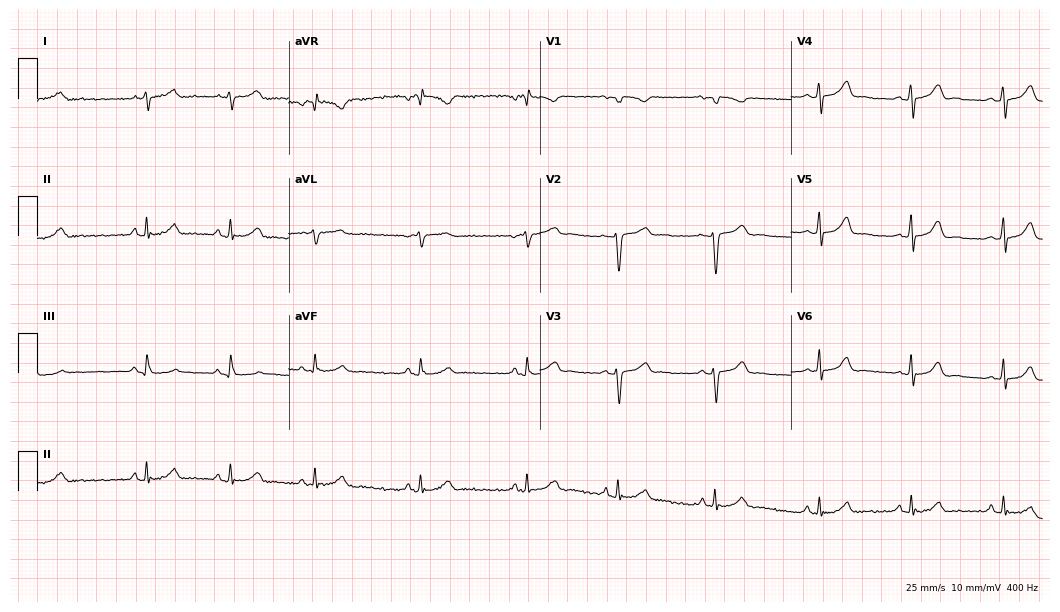
Electrocardiogram, a 23-year-old woman. Of the six screened findings (first-degree AV block, right bundle branch block, left bundle branch block, sinus bradycardia, atrial fibrillation, sinus tachycardia), none is recorded. Findings outside these six are not listed.